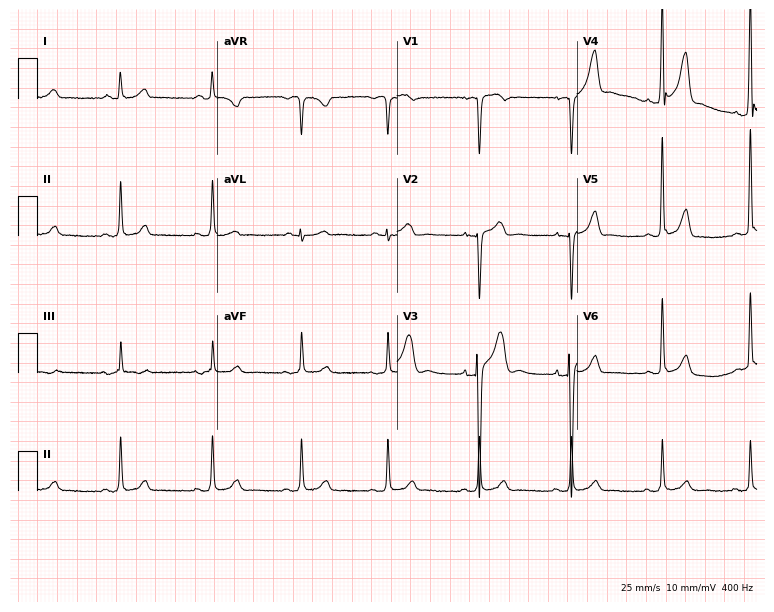
12-lead ECG from a 48-year-old man. Screened for six findings — first-degree AV block, right bundle branch block, left bundle branch block, sinus bradycardia, atrial fibrillation, sinus tachycardia — none is recorded.